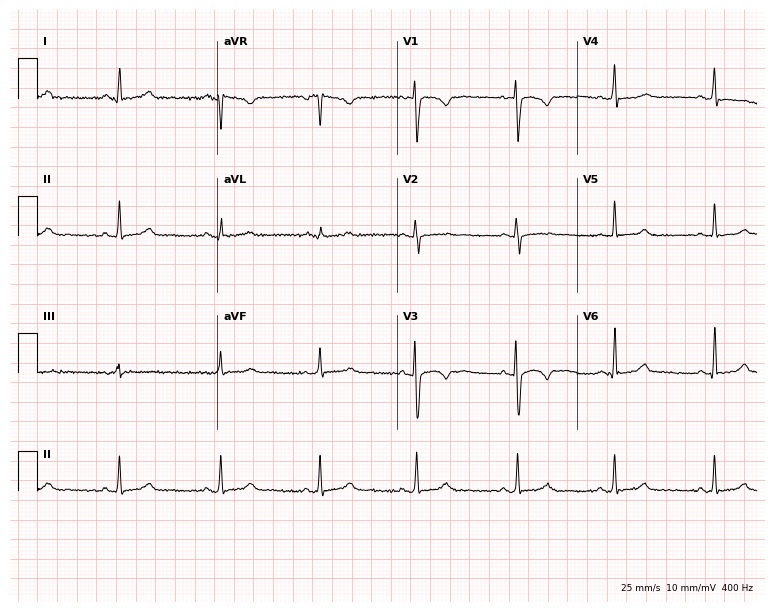
12-lead ECG from a female, 36 years old. Screened for six findings — first-degree AV block, right bundle branch block, left bundle branch block, sinus bradycardia, atrial fibrillation, sinus tachycardia — none is recorded. Other findings, if any, are not listed.